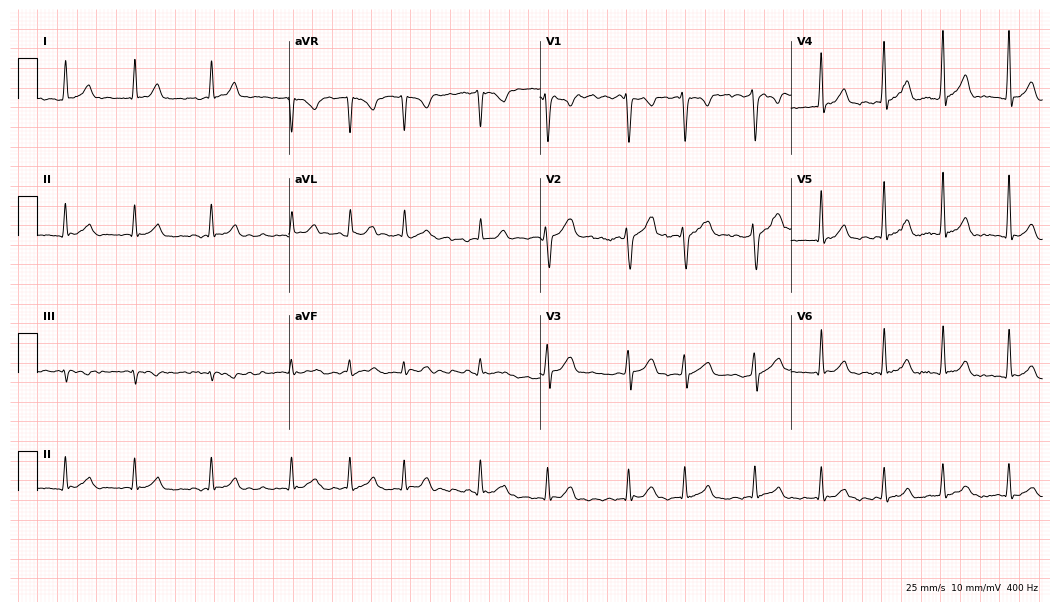
12-lead ECG from a 31-year-old male (10.2-second recording at 400 Hz). Shows atrial fibrillation.